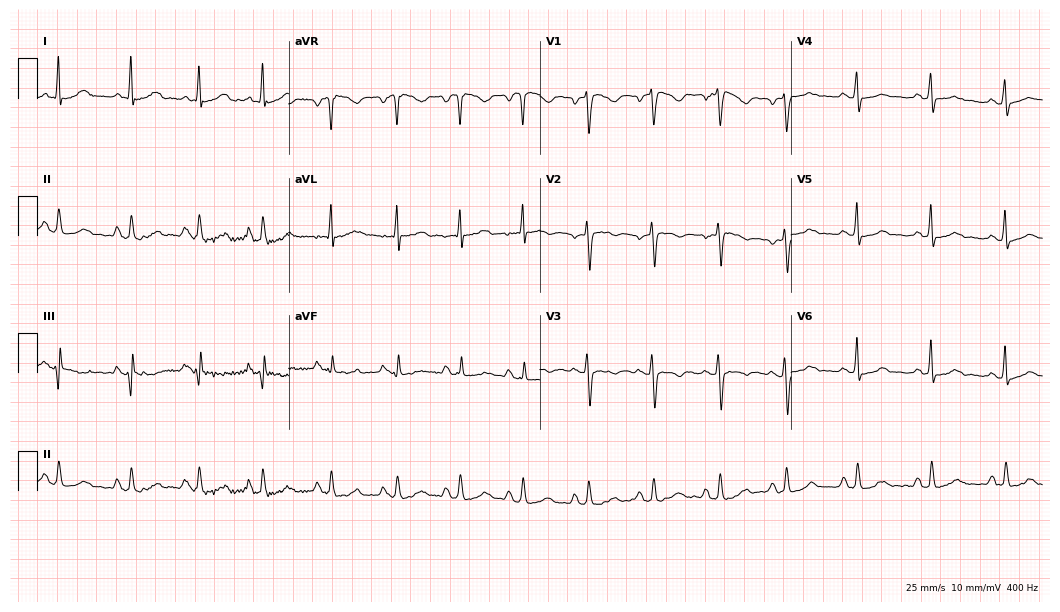
Resting 12-lead electrocardiogram. Patient: a 29-year-old female. None of these six findings is recorded: first-degree AV block, right bundle branch block, left bundle branch block, sinus bradycardia, atrial fibrillation, sinus tachycardia.